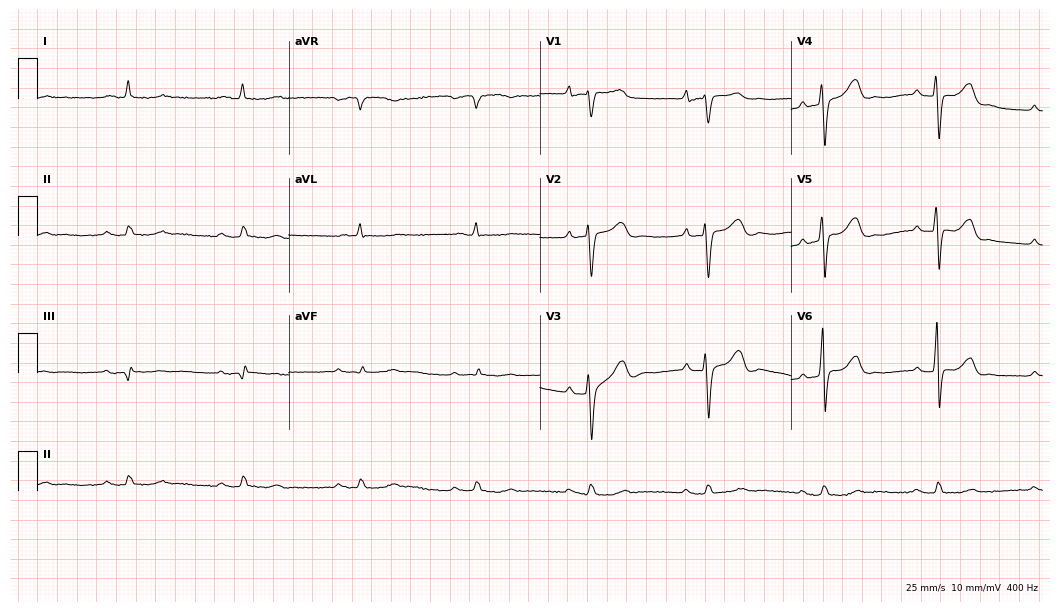
Standard 12-lead ECG recorded from a 76-year-old male (10.2-second recording at 400 Hz). The tracing shows first-degree AV block.